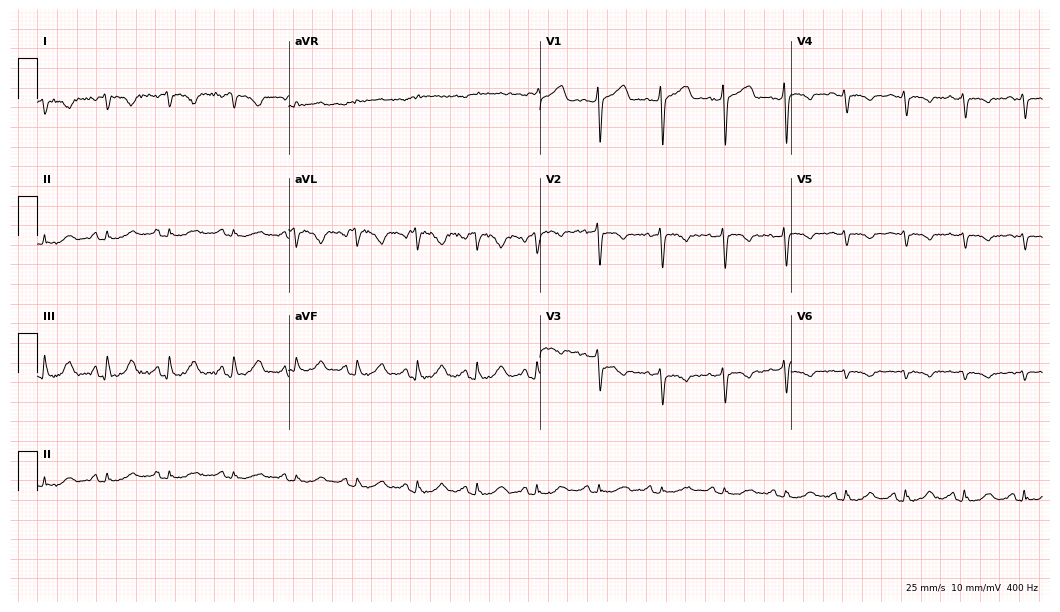
12-lead ECG (10.2-second recording at 400 Hz) from a 53-year-old female. Screened for six findings — first-degree AV block, right bundle branch block, left bundle branch block, sinus bradycardia, atrial fibrillation, sinus tachycardia — none is recorded.